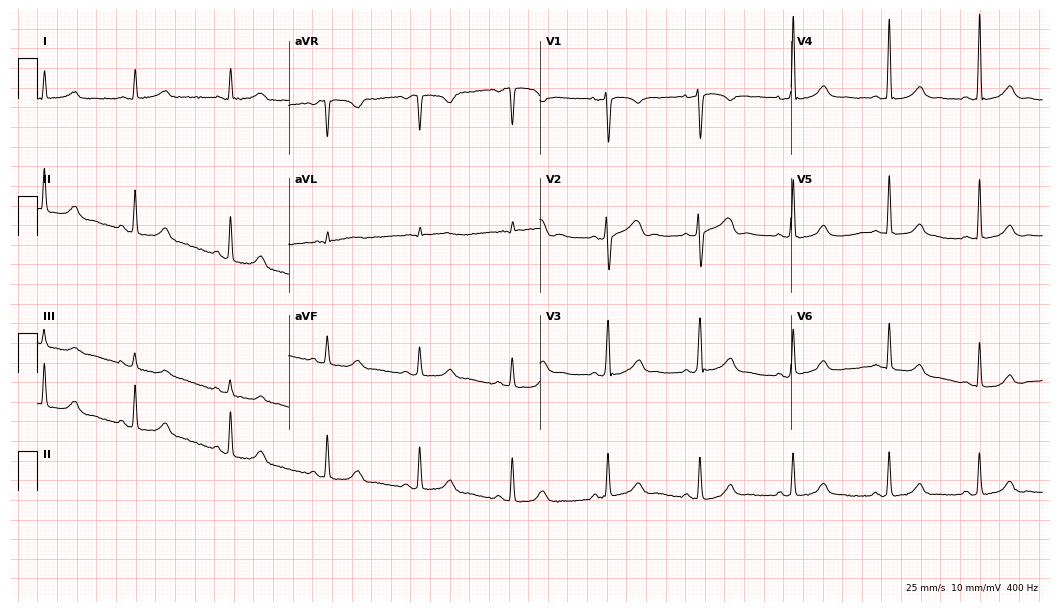
Standard 12-lead ECG recorded from a woman, 32 years old. Read as a normal ECG.